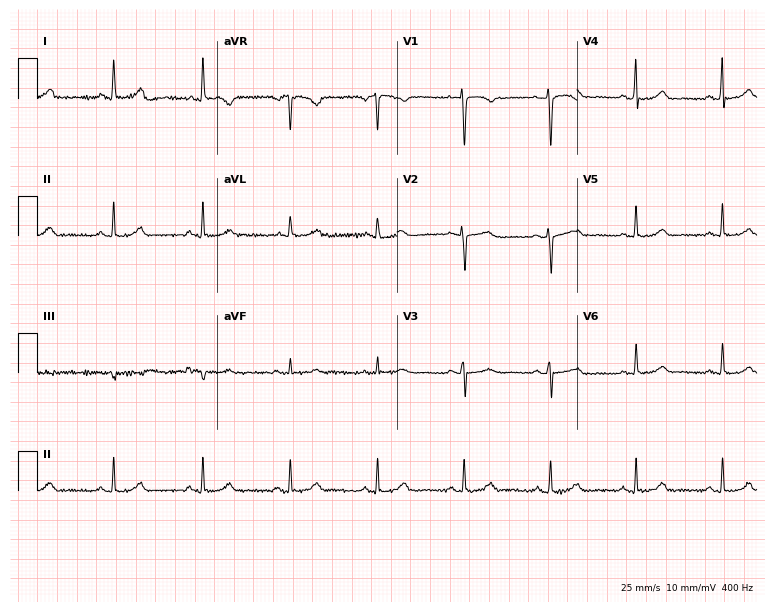
Standard 12-lead ECG recorded from a 45-year-old woman. Read as a normal ECG.